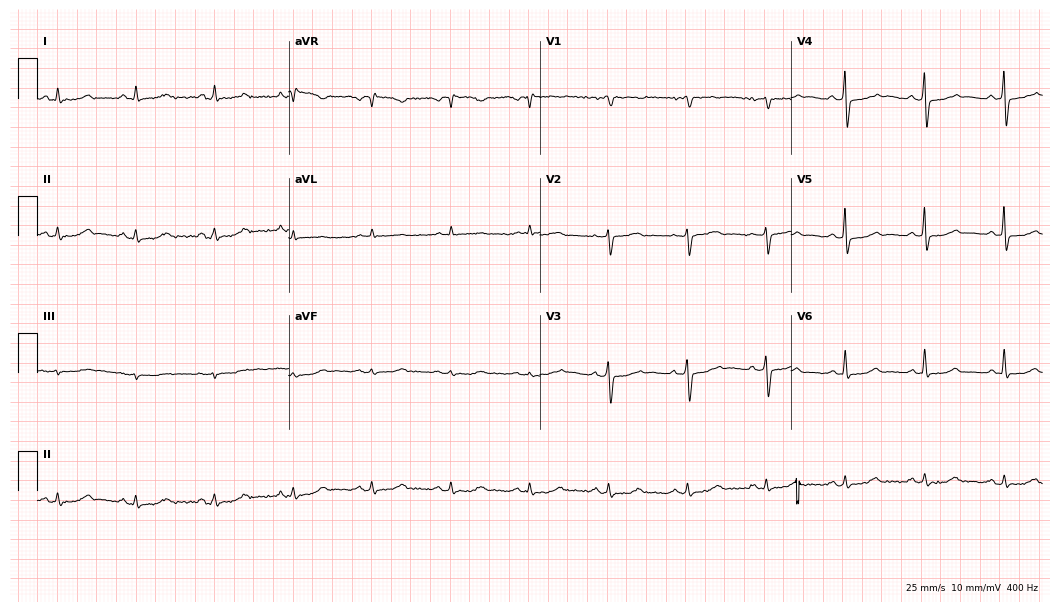
12-lead ECG from an 82-year-old female patient. No first-degree AV block, right bundle branch block, left bundle branch block, sinus bradycardia, atrial fibrillation or sinus tachycardia recorded for this tracing.